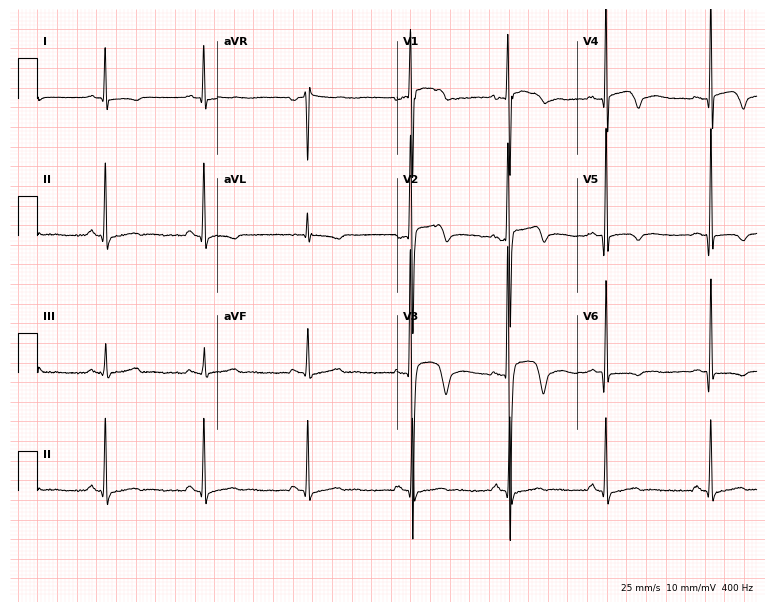
12-lead ECG (7.3-second recording at 400 Hz) from a man, 28 years old. Screened for six findings — first-degree AV block, right bundle branch block (RBBB), left bundle branch block (LBBB), sinus bradycardia, atrial fibrillation (AF), sinus tachycardia — none is recorded. Findings outside these six are not listed.